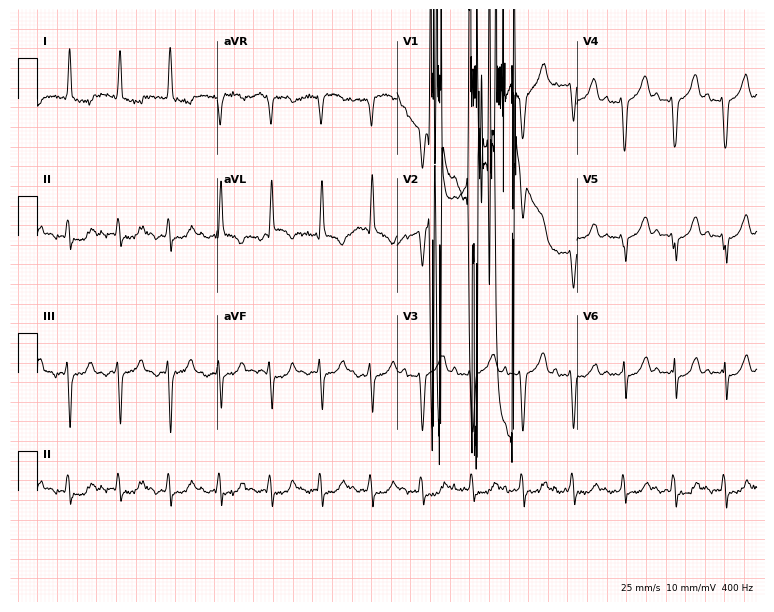
Resting 12-lead electrocardiogram. Patient: a female, 85 years old. None of these six findings is recorded: first-degree AV block, right bundle branch block, left bundle branch block, sinus bradycardia, atrial fibrillation, sinus tachycardia. Only these six findings were labelled.